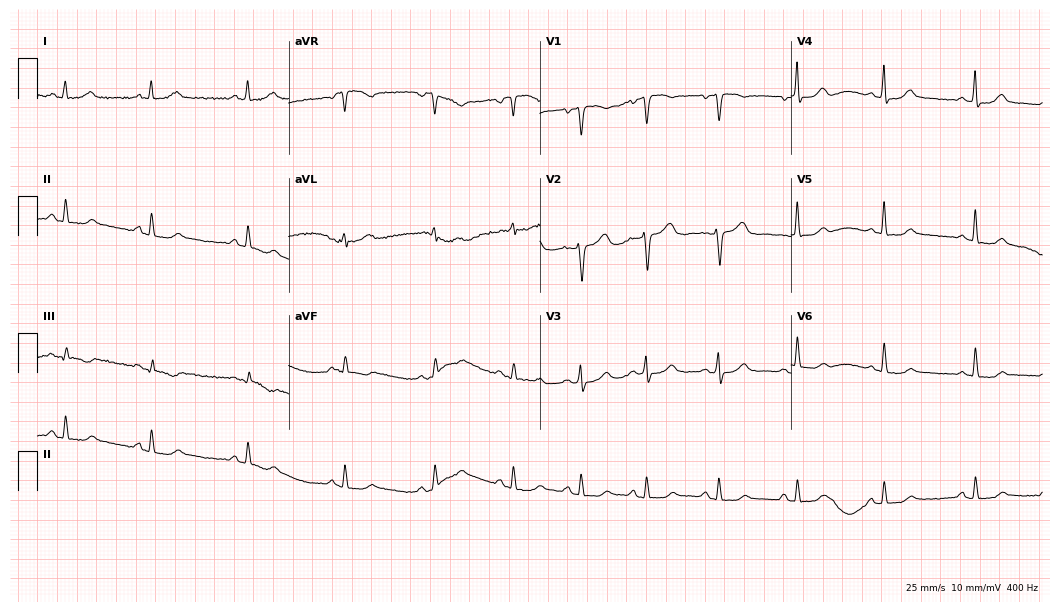
Standard 12-lead ECG recorded from a female, 51 years old. Read as a normal ECG.